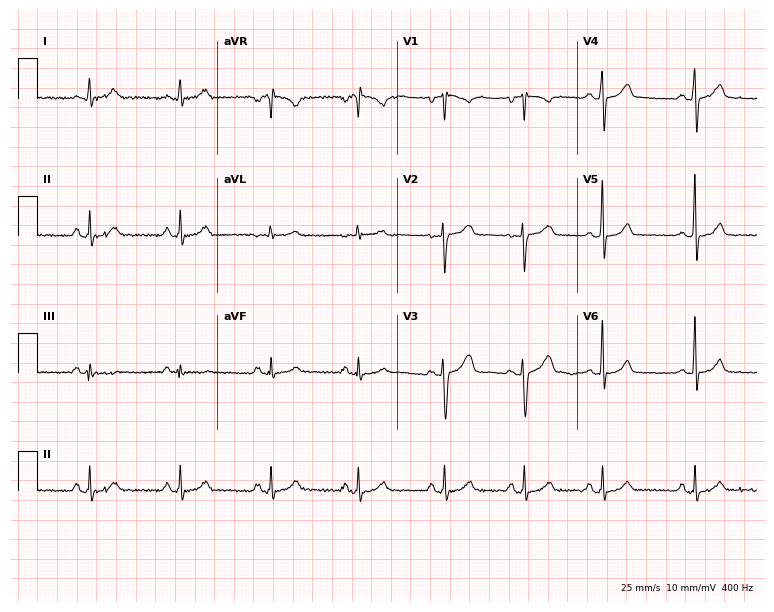
Standard 12-lead ECG recorded from a 39-year-old male (7.3-second recording at 400 Hz). Read as a normal ECG.